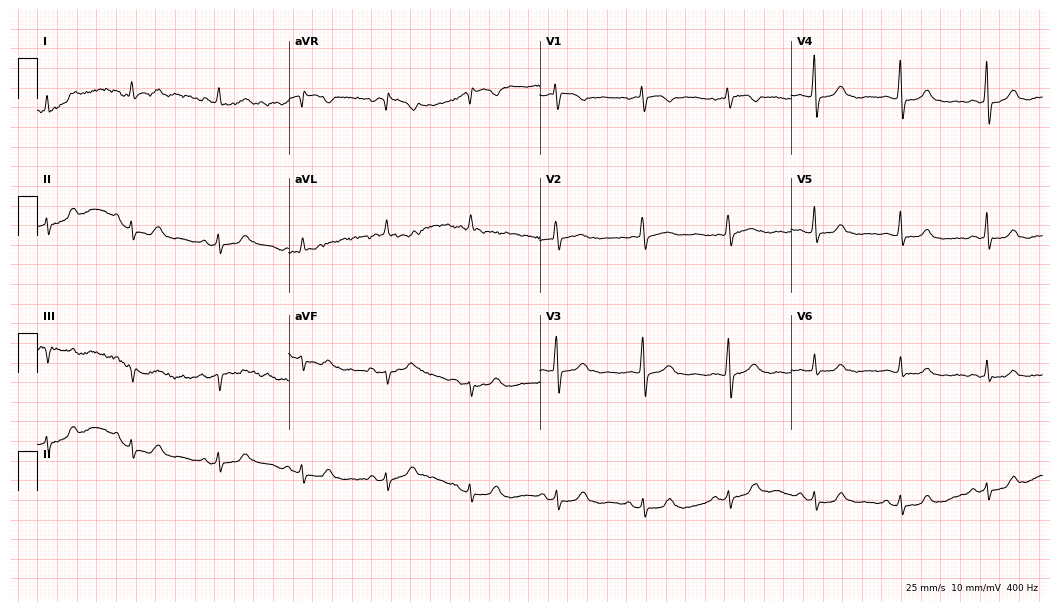
Electrocardiogram, an 83-year-old female patient. Overall reading on record: normal ECG.